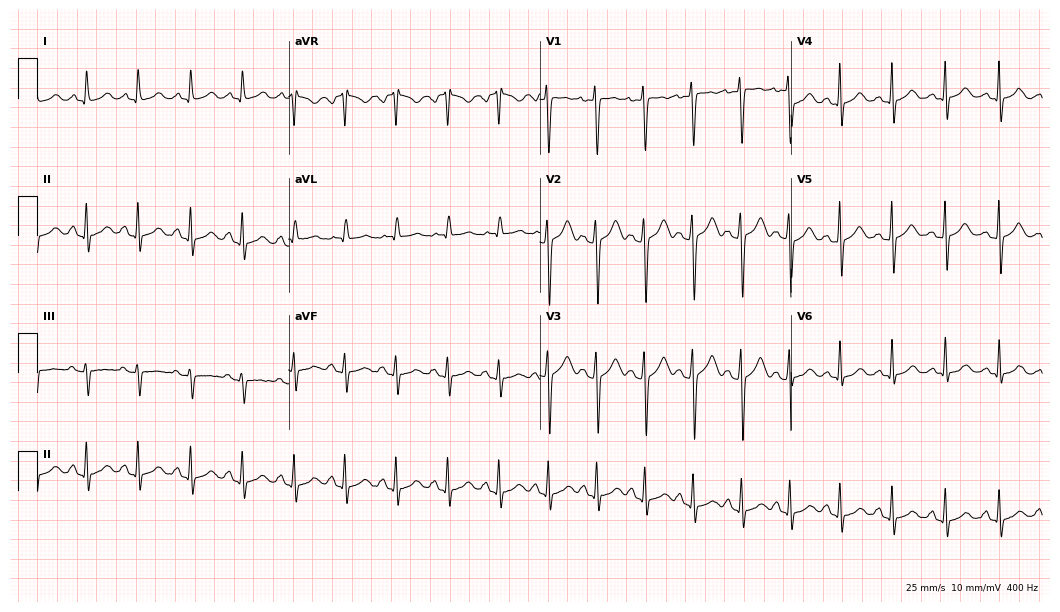
ECG (10.2-second recording at 400 Hz) — a female, 18 years old. Findings include sinus tachycardia (a sinus rate of 100 beats per minute or more).